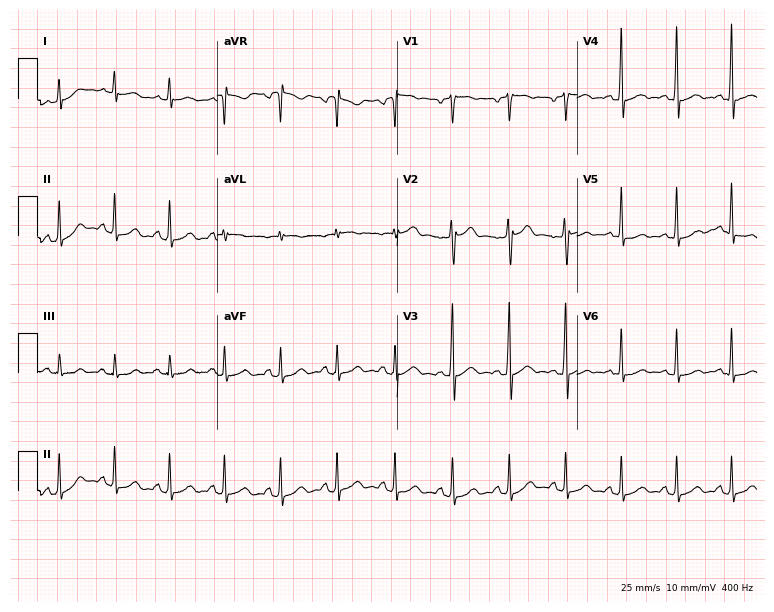
Electrocardiogram, a man, 36 years old. Interpretation includes sinus tachycardia (a sinus rate of 100 beats per minute or more).